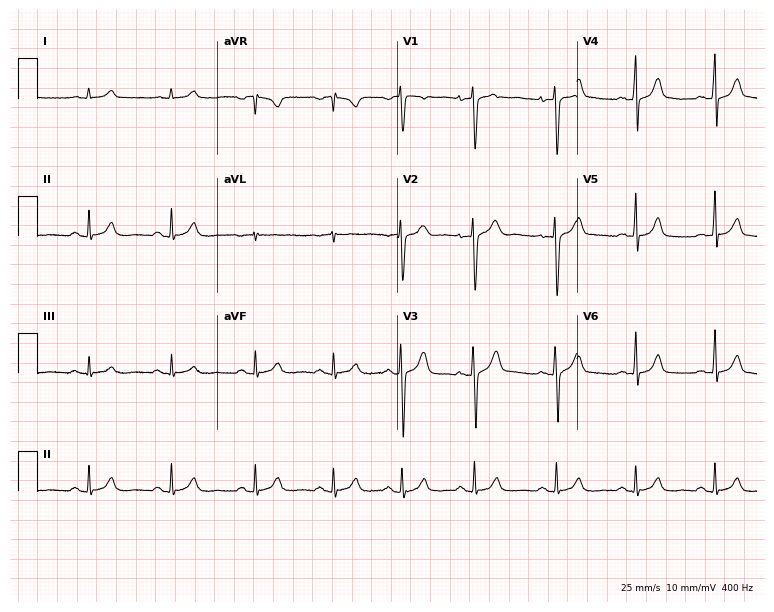
12-lead ECG from a 19-year-old male patient. Labelled as a normal ECG.